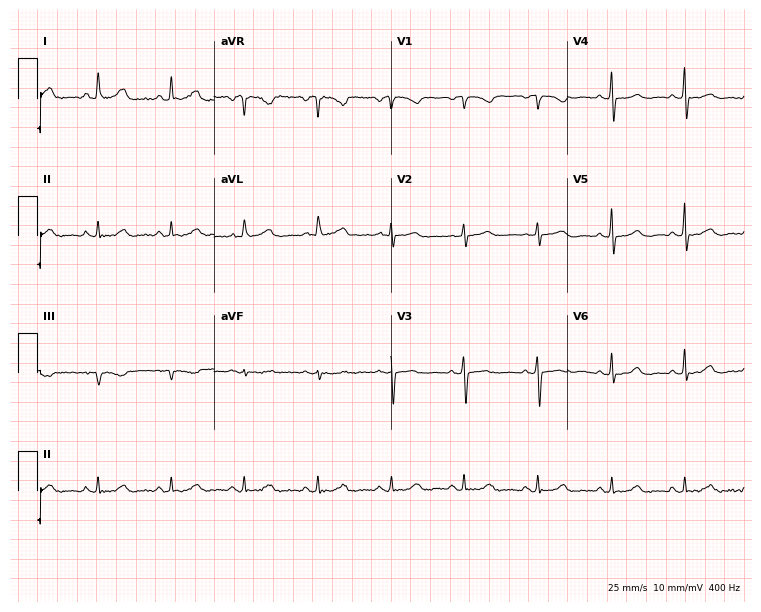
Standard 12-lead ECG recorded from a 71-year-old female. None of these six findings is recorded: first-degree AV block, right bundle branch block (RBBB), left bundle branch block (LBBB), sinus bradycardia, atrial fibrillation (AF), sinus tachycardia. Other findings, if any, are not listed.